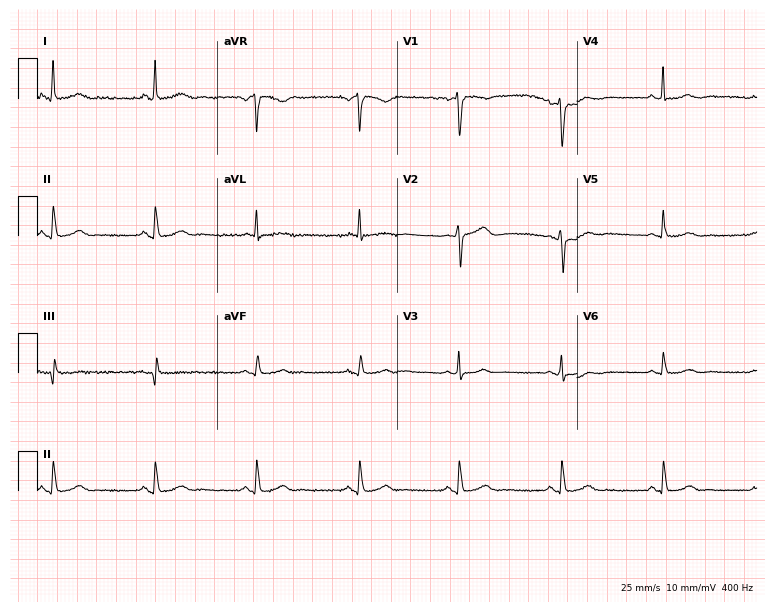
Resting 12-lead electrocardiogram. Patient: a 52-year-old female. None of these six findings is recorded: first-degree AV block, right bundle branch block, left bundle branch block, sinus bradycardia, atrial fibrillation, sinus tachycardia. Other findings, if any, are not listed.